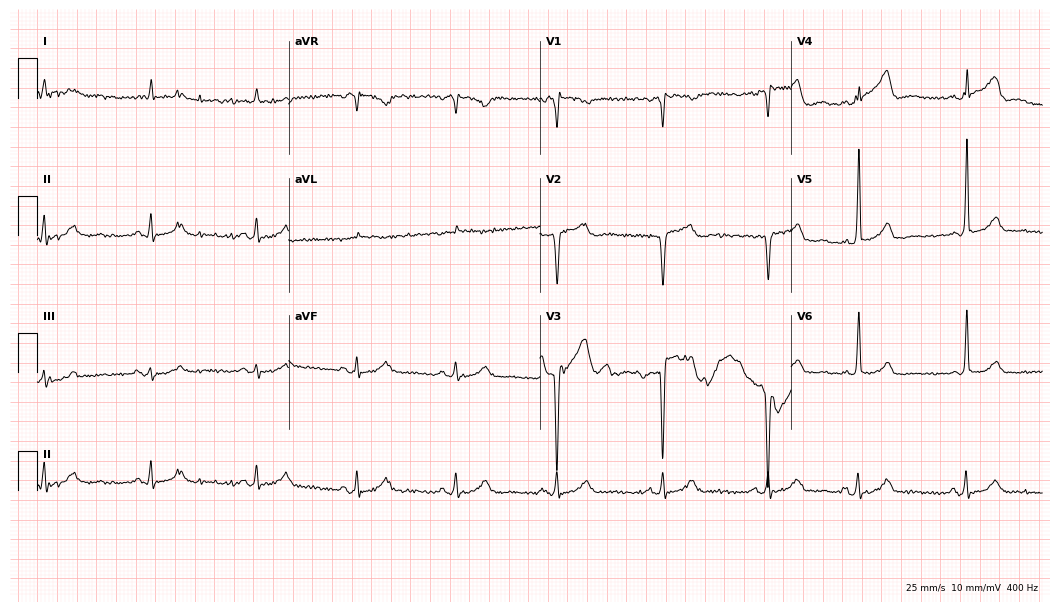
Standard 12-lead ECG recorded from a male, 65 years old (10.2-second recording at 400 Hz). Read as a normal ECG.